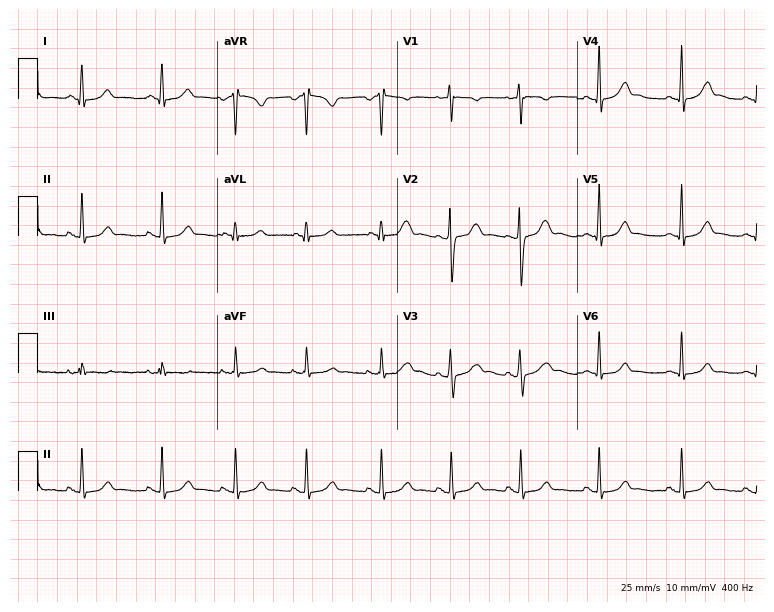
12-lead ECG (7.3-second recording at 400 Hz) from a female, 19 years old. Labelled as a normal ECG.